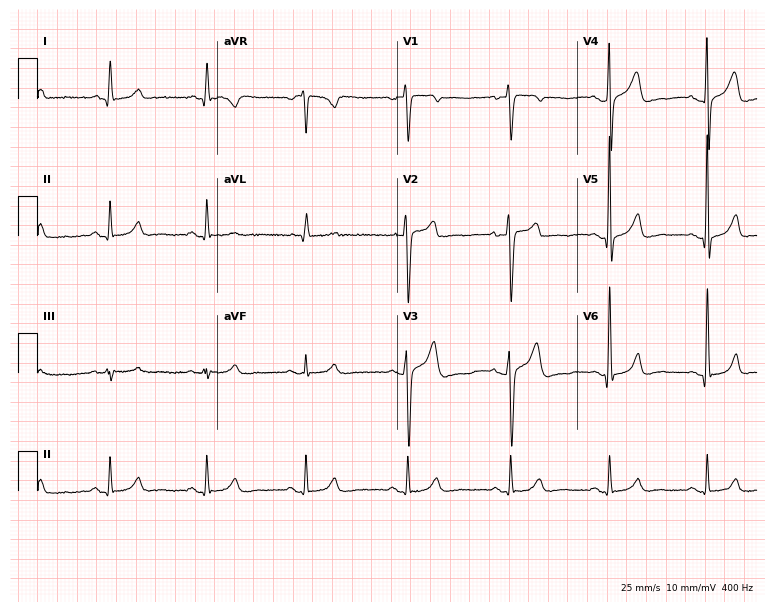
12-lead ECG from a 30-year-old man. Recorded interpretation: within normal limits.